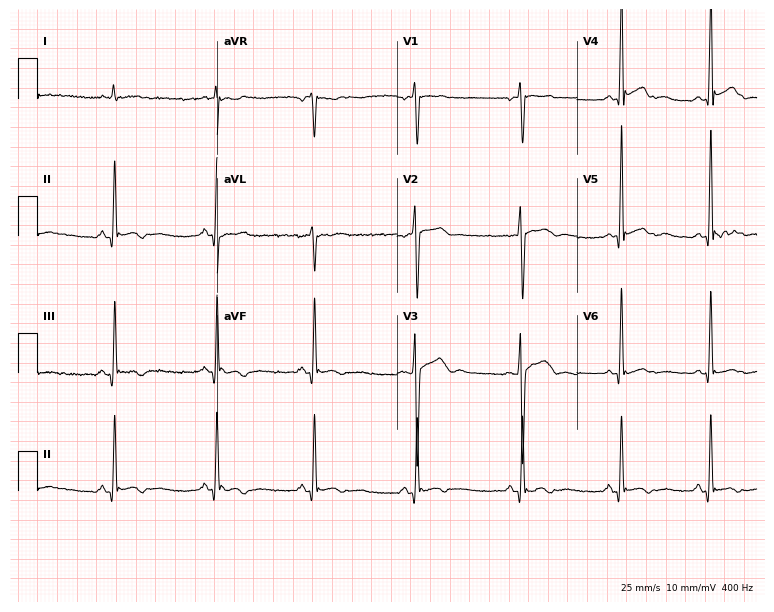
Resting 12-lead electrocardiogram (7.3-second recording at 400 Hz). Patient: a male, 22 years old. None of these six findings is recorded: first-degree AV block, right bundle branch block, left bundle branch block, sinus bradycardia, atrial fibrillation, sinus tachycardia.